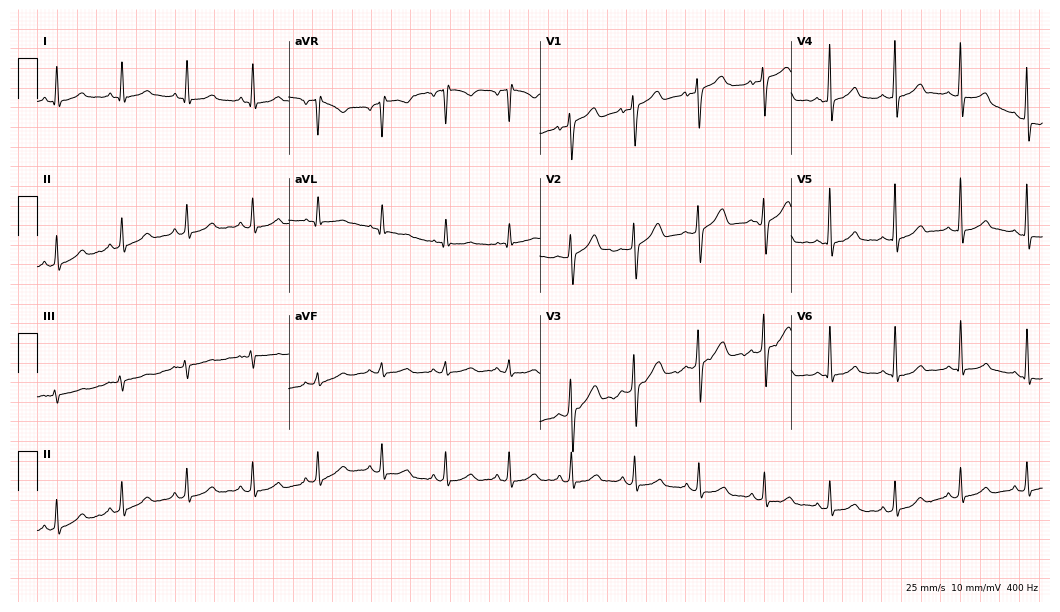
Electrocardiogram (10.2-second recording at 400 Hz), a 35-year-old woman. Overall reading on record: normal ECG.